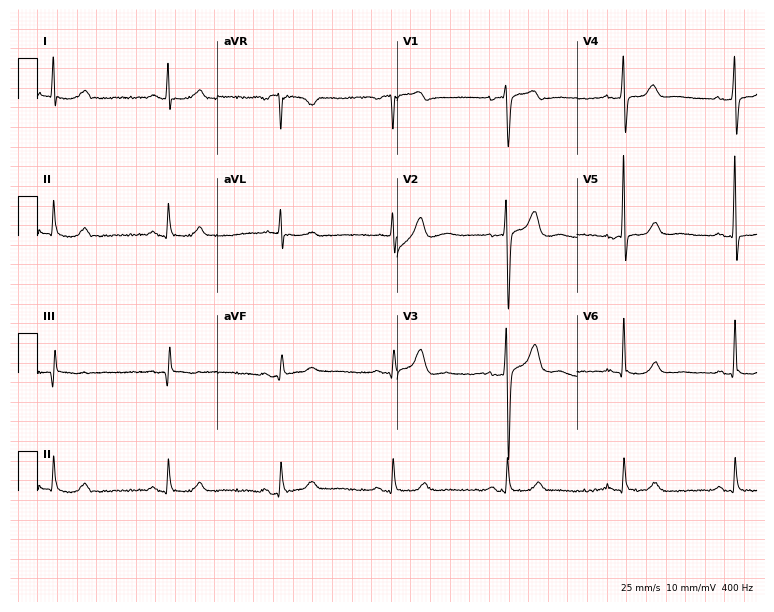
Standard 12-lead ECG recorded from a man, 65 years old. Read as a normal ECG.